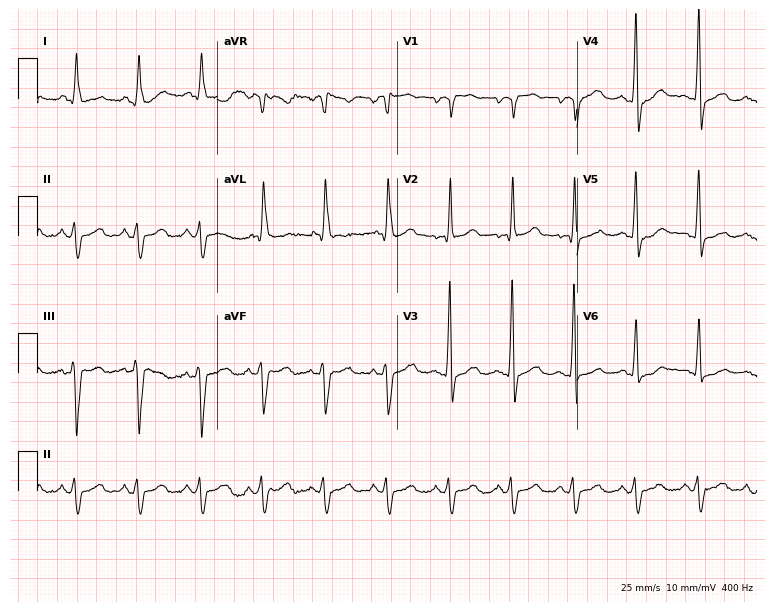
Standard 12-lead ECG recorded from a man, 71 years old. None of these six findings is recorded: first-degree AV block, right bundle branch block (RBBB), left bundle branch block (LBBB), sinus bradycardia, atrial fibrillation (AF), sinus tachycardia.